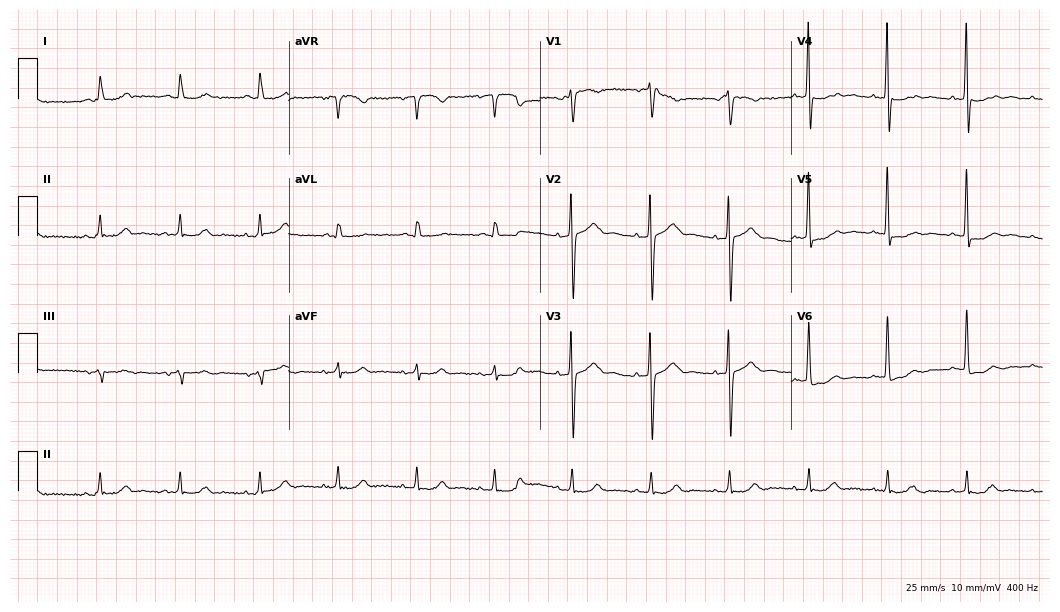
12-lead ECG from an 82-year-old male. Screened for six findings — first-degree AV block, right bundle branch block, left bundle branch block, sinus bradycardia, atrial fibrillation, sinus tachycardia — none is recorded. Other findings, if any, are not listed.